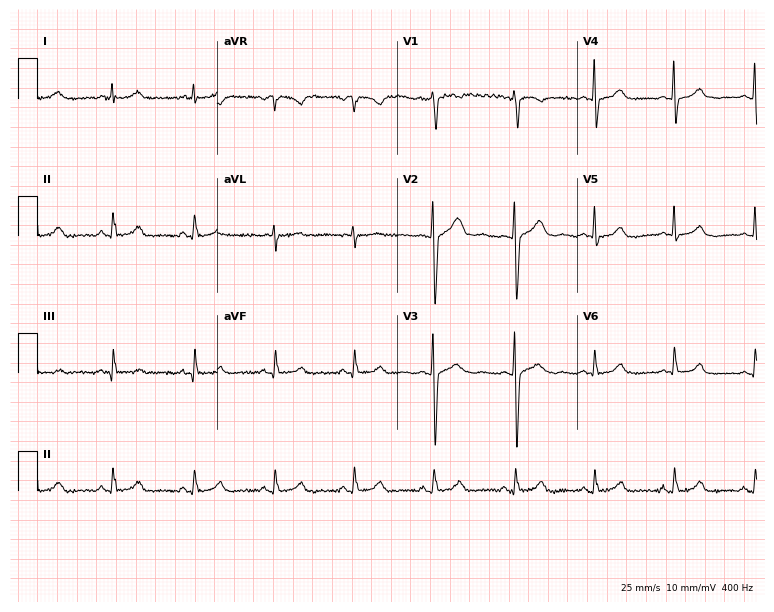
Electrocardiogram, an 18-year-old woman. Of the six screened findings (first-degree AV block, right bundle branch block, left bundle branch block, sinus bradycardia, atrial fibrillation, sinus tachycardia), none is recorded.